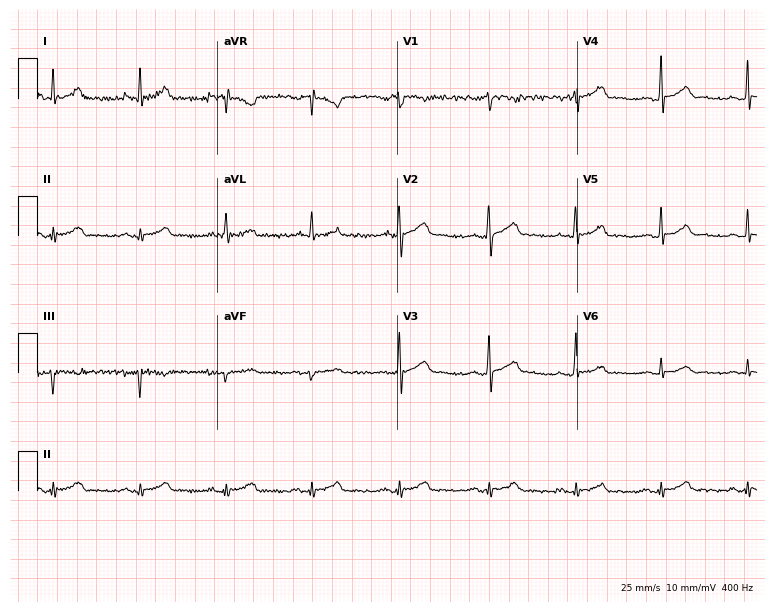
Standard 12-lead ECG recorded from a 52-year-old male (7.3-second recording at 400 Hz). Read as a normal ECG.